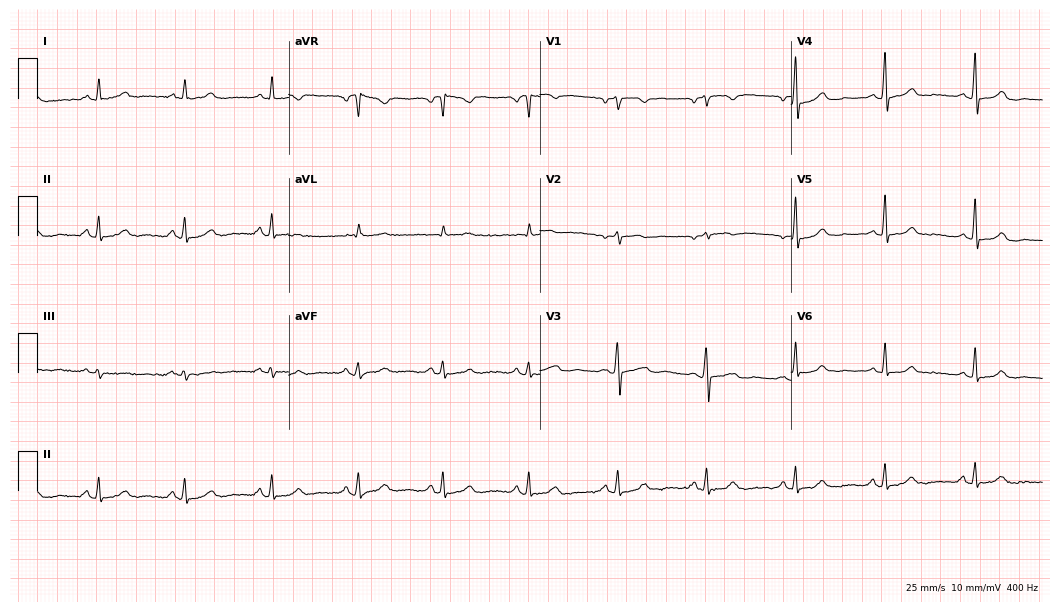
12-lead ECG from a female patient, 62 years old. Screened for six findings — first-degree AV block, right bundle branch block, left bundle branch block, sinus bradycardia, atrial fibrillation, sinus tachycardia — none is recorded. Other findings, if any, are not listed.